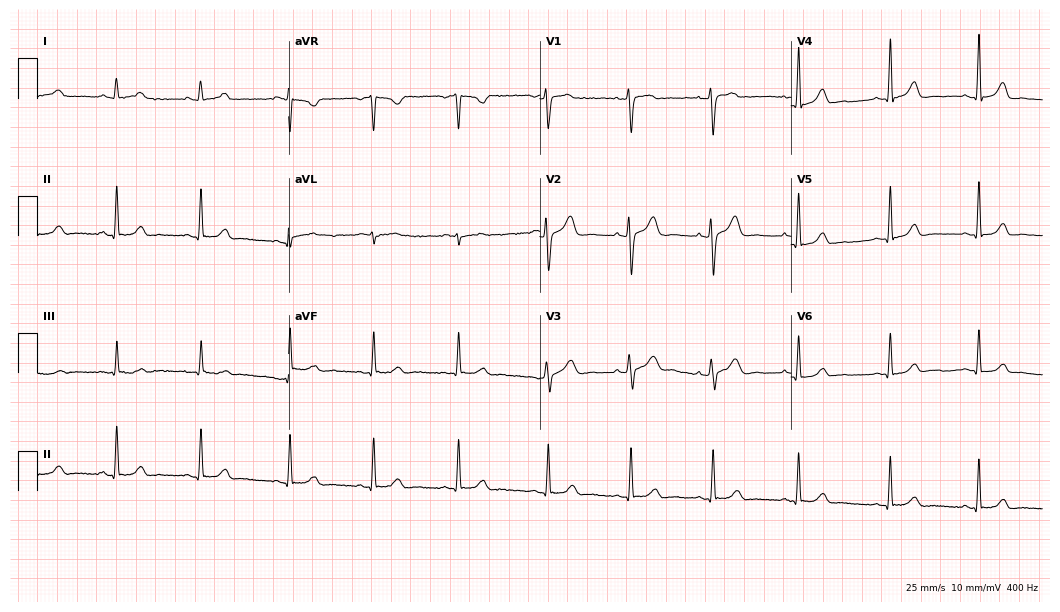
12-lead ECG from a 41-year-old female patient. Labelled as a normal ECG.